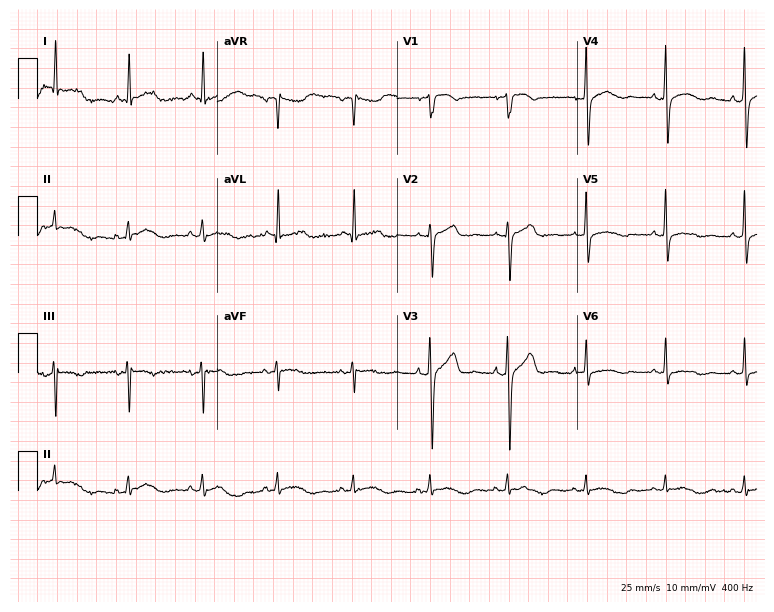
Electrocardiogram (7.3-second recording at 400 Hz), a male patient, 70 years old. Overall reading on record: normal ECG.